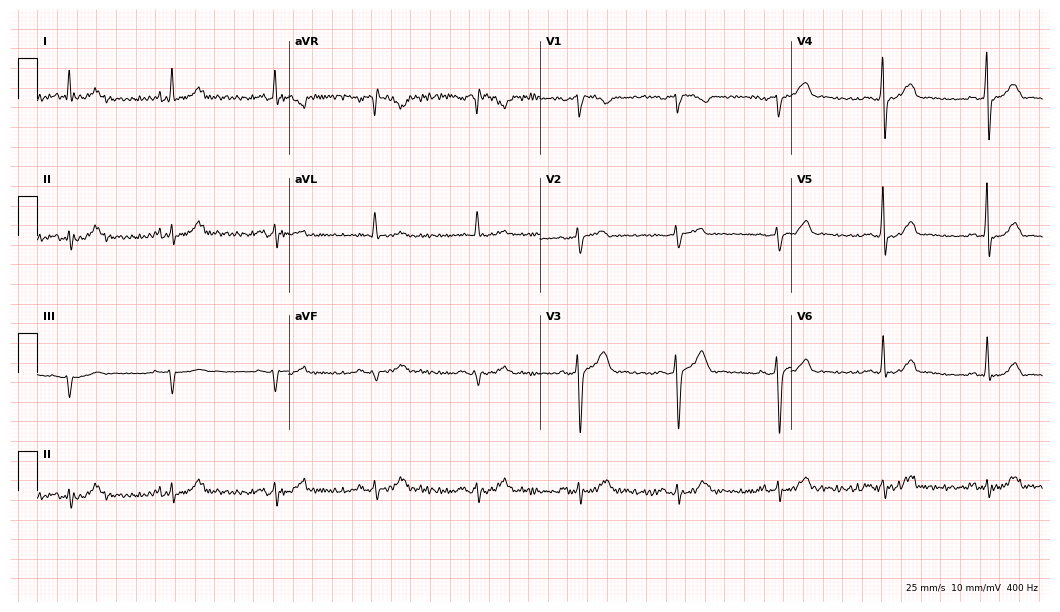
12-lead ECG from a 45-year-old man (10.2-second recording at 400 Hz). No first-degree AV block, right bundle branch block, left bundle branch block, sinus bradycardia, atrial fibrillation or sinus tachycardia recorded for this tracing.